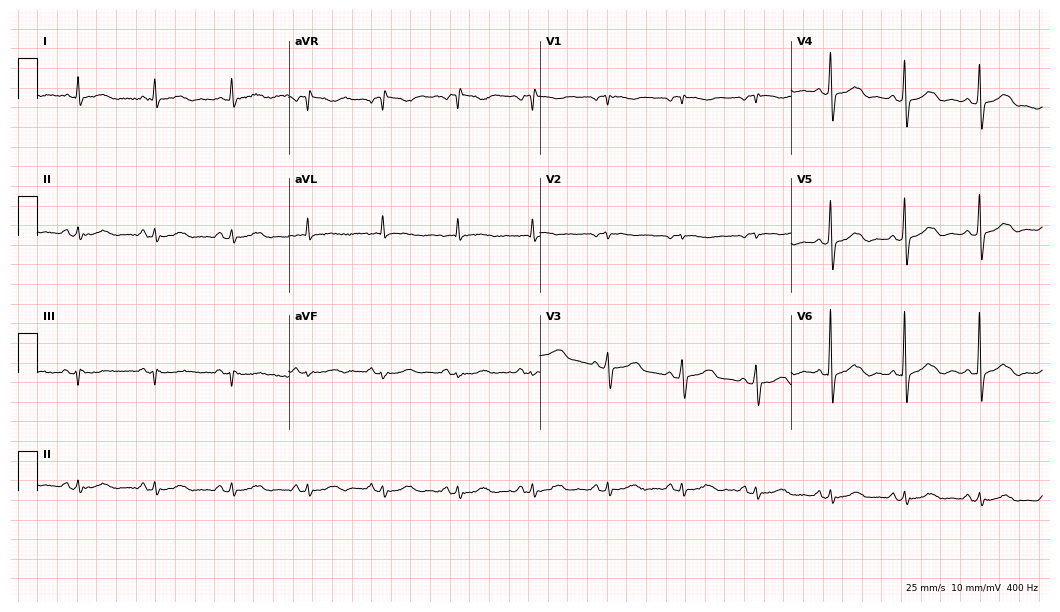
12-lead ECG from a female, 60 years old. Screened for six findings — first-degree AV block, right bundle branch block, left bundle branch block, sinus bradycardia, atrial fibrillation, sinus tachycardia — none is recorded. Findings outside these six are not listed.